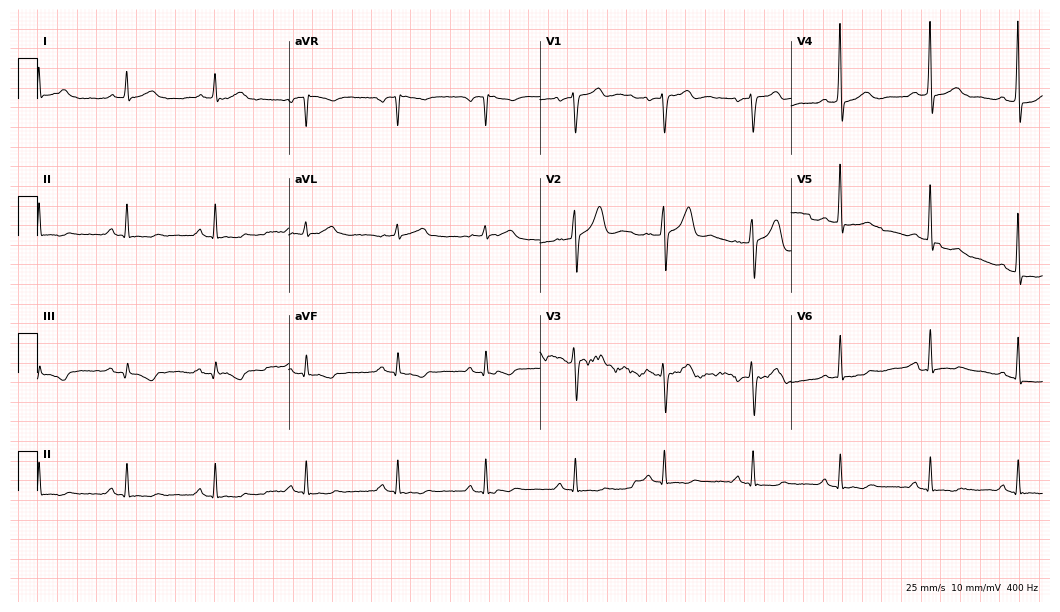
Standard 12-lead ECG recorded from a male, 58 years old (10.2-second recording at 400 Hz). None of these six findings is recorded: first-degree AV block, right bundle branch block, left bundle branch block, sinus bradycardia, atrial fibrillation, sinus tachycardia.